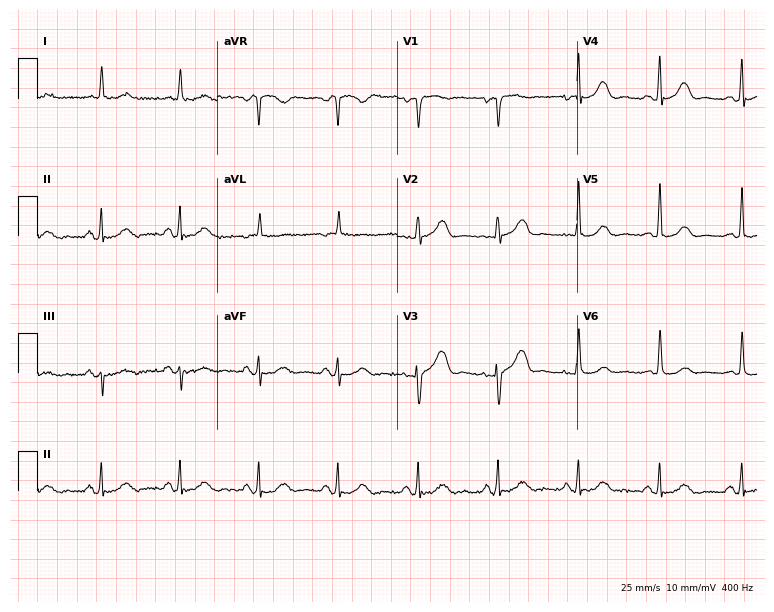
Standard 12-lead ECG recorded from an 88-year-old woman (7.3-second recording at 400 Hz). None of these six findings is recorded: first-degree AV block, right bundle branch block, left bundle branch block, sinus bradycardia, atrial fibrillation, sinus tachycardia. Findings outside these six are not listed.